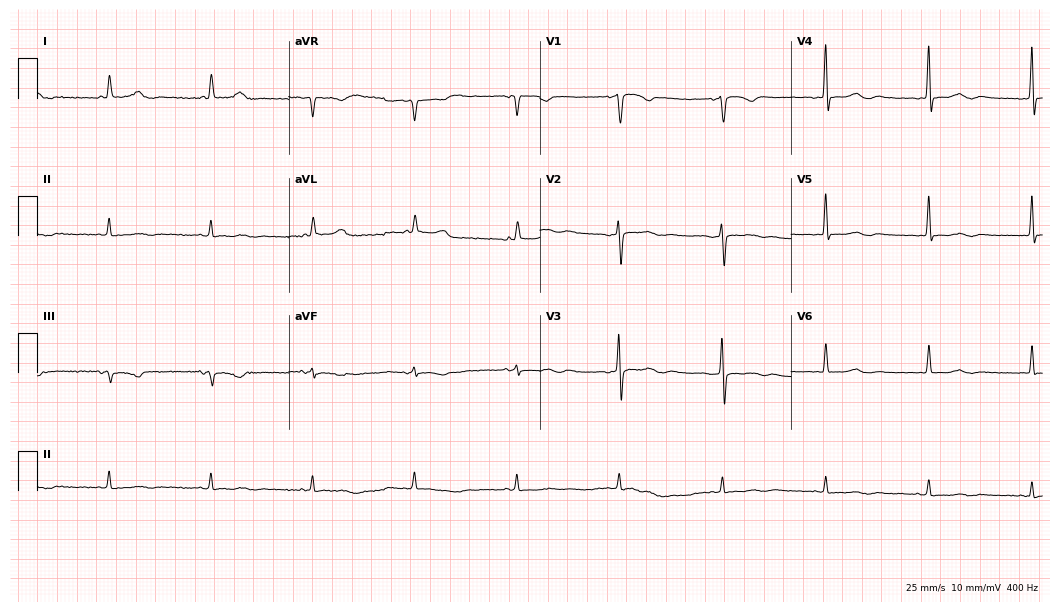
12-lead ECG from a female, 69 years old (10.2-second recording at 400 Hz). No first-degree AV block, right bundle branch block (RBBB), left bundle branch block (LBBB), sinus bradycardia, atrial fibrillation (AF) or sinus tachycardia recorded for this tracing.